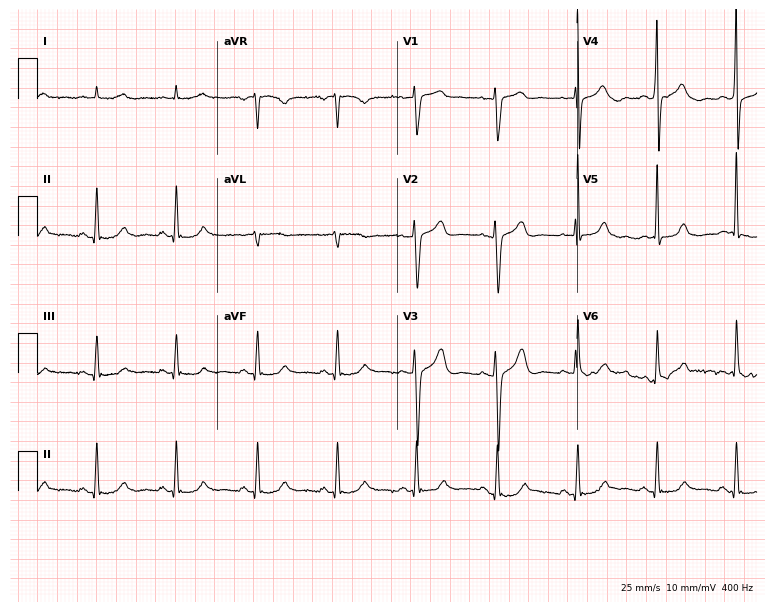
Resting 12-lead electrocardiogram. Patient: a 70-year-old man. Read as a normal ECG.